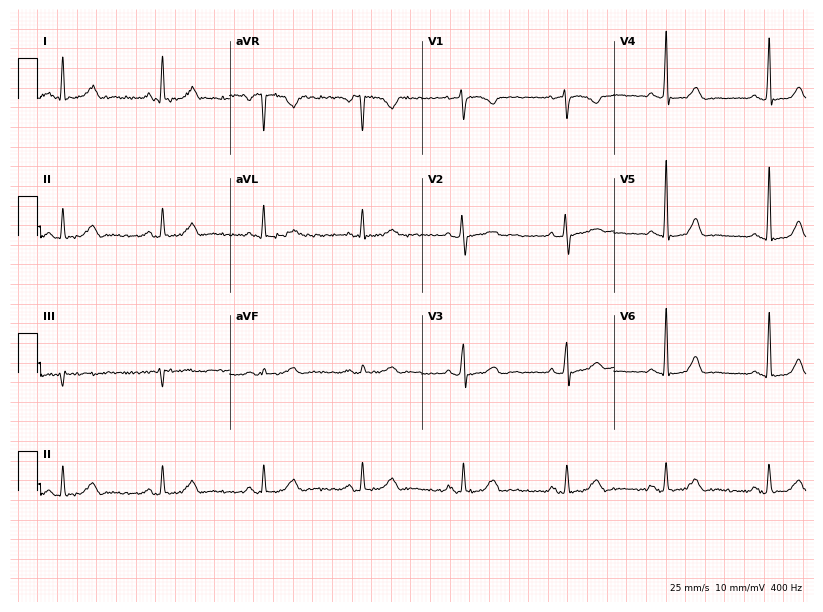
ECG (7.8-second recording at 400 Hz) — a woman, 31 years old. Screened for six findings — first-degree AV block, right bundle branch block (RBBB), left bundle branch block (LBBB), sinus bradycardia, atrial fibrillation (AF), sinus tachycardia — none is recorded.